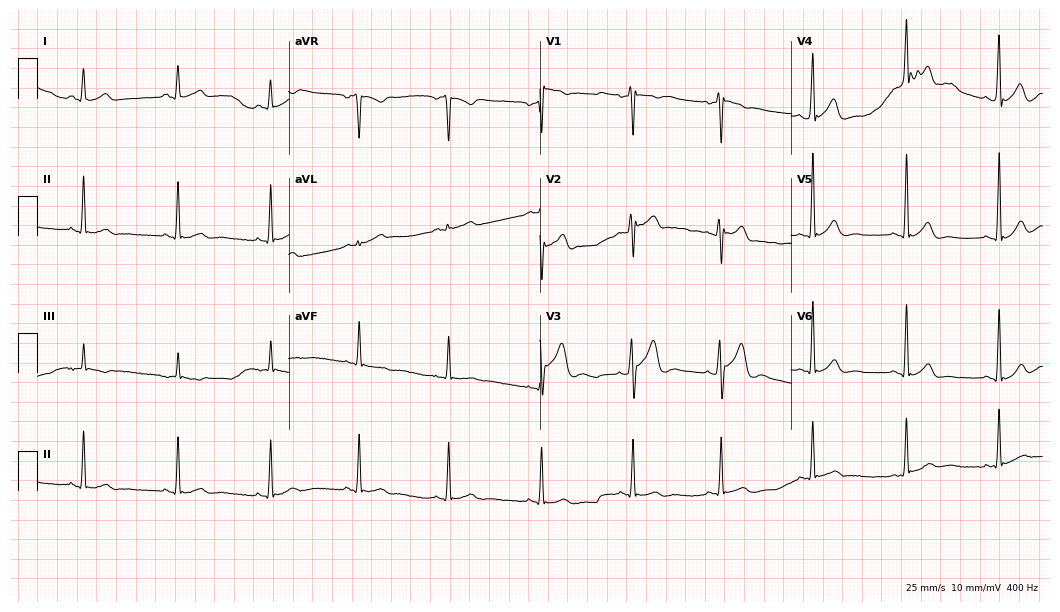
Resting 12-lead electrocardiogram. Patient: a male, 30 years old. None of these six findings is recorded: first-degree AV block, right bundle branch block, left bundle branch block, sinus bradycardia, atrial fibrillation, sinus tachycardia. Only these six findings were labelled.